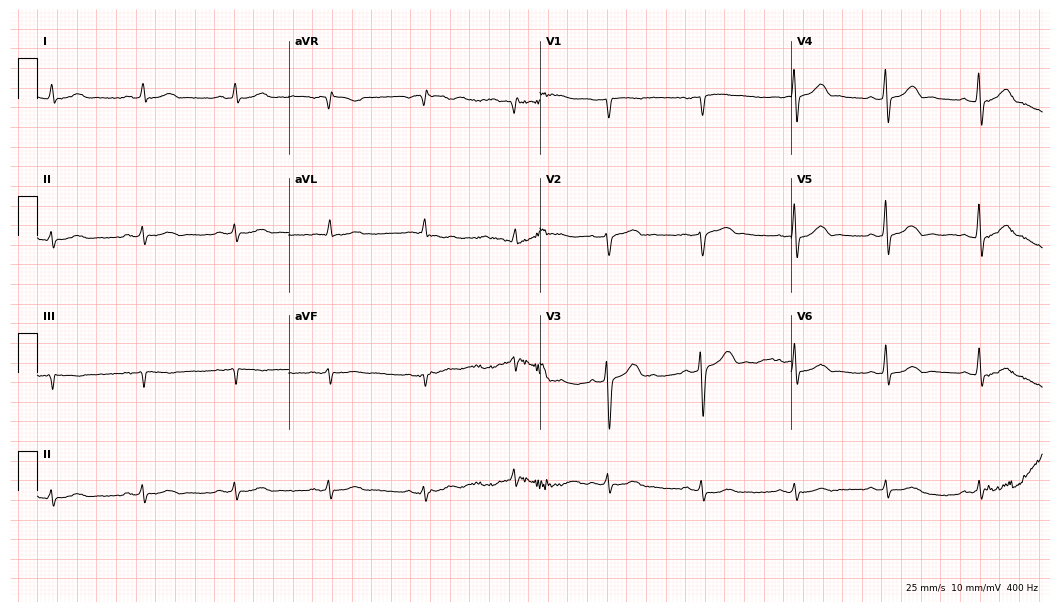
Standard 12-lead ECG recorded from a 55-year-old male patient. Read as a normal ECG.